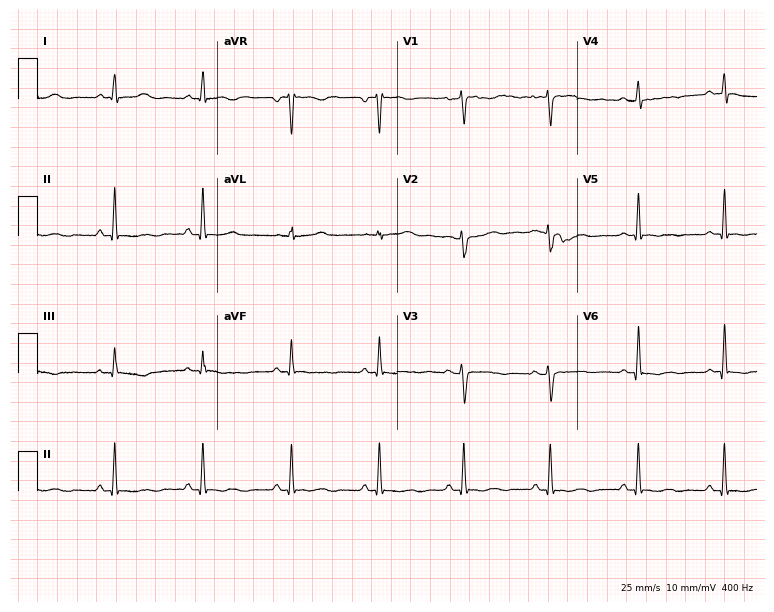
Electrocardiogram, a female, 54 years old. Of the six screened findings (first-degree AV block, right bundle branch block (RBBB), left bundle branch block (LBBB), sinus bradycardia, atrial fibrillation (AF), sinus tachycardia), none is recorded. Only these six findings were labelled.